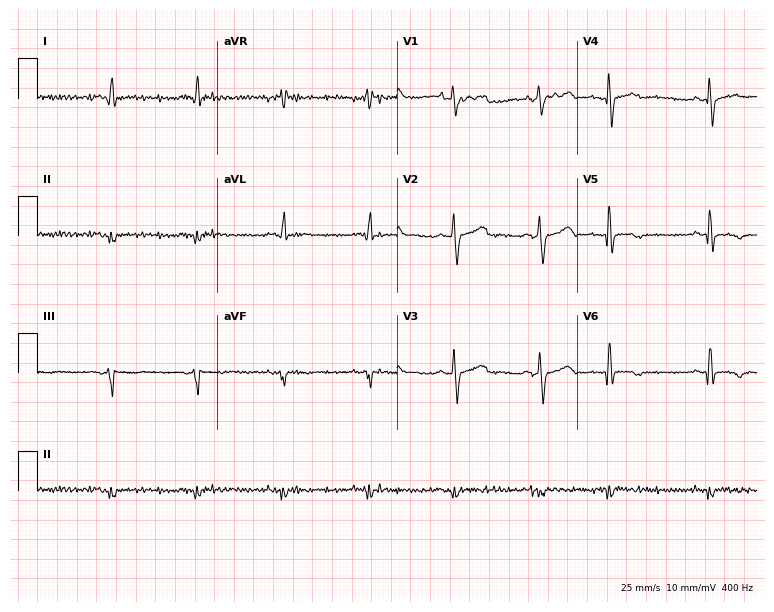
Electrocardiogram (7.3-second recording at 400 Hz), a 67-year-old male patient. Of the six screened findings (first-degree AV block, right bundle branch block, left bundle branch block, sinus bradycardia, atrial fibrillation, sinus tachycardia), none is recorded.